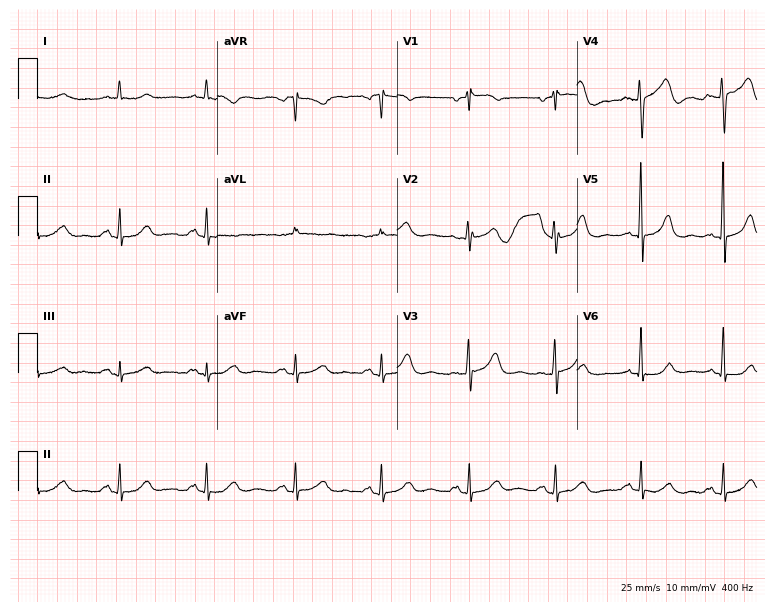
12-lead ECG from a woman, 63 years old (7.3-second recording at 400 Hz). No first-degree AV block, right bundle branch block, left bundle branch block, sinus bradycardia, atrial fibrillation or sinus tachycardia recorded for this tracing.